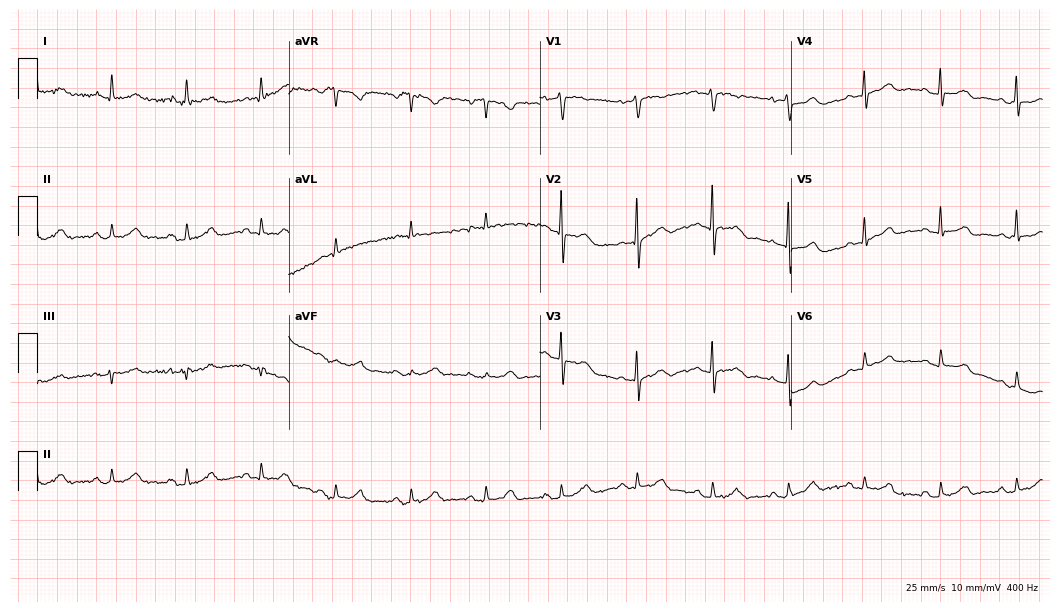
Resting 12-lead electrocardiogram (10.2-second recording at 400 Hz). Patient: a 77-year-old man. Read as a normal ECG.